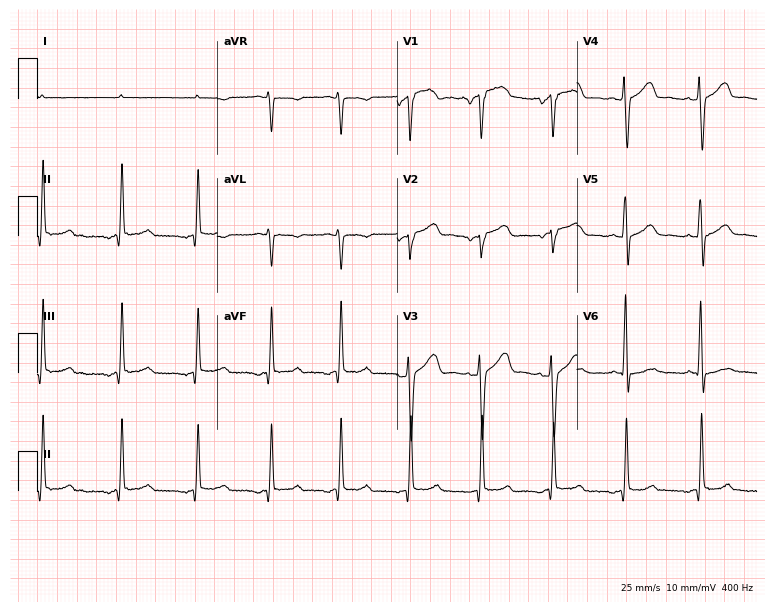
Resting 12-lead electrocardiogram. Patient: a male, 51 years old. None of these six findings is recorded: first-degree AV block, right bundle branch block, left bundle branch block, sinus bradycardia, atrial fibrillation, sinus tachycardia.